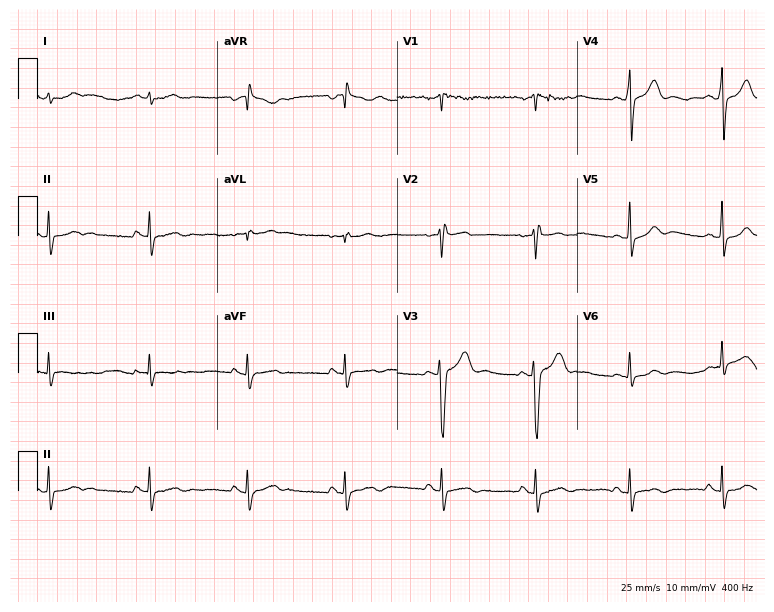
12-lead ECG from a male patient, 32 years old. Screened for six findings — first-degree AV block, right bundle branch block (RBBB), left bundle branch block (LBBB), sinus bradycardia, atrial fibrillation (AF), sinus tachycardia — none is recorded.